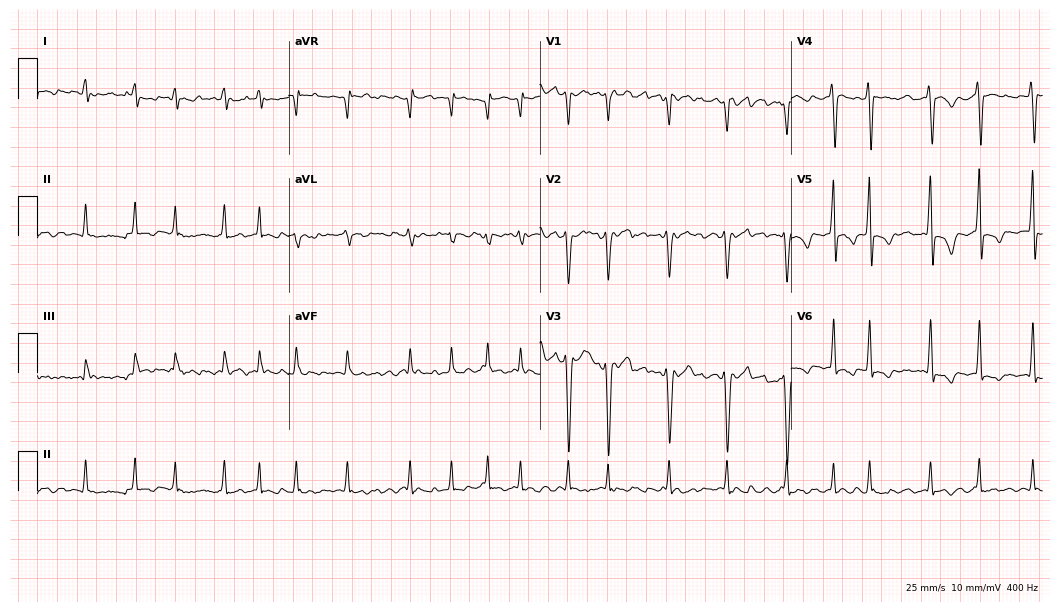
12-lead ECG from a man, 37 years old (10.2-second recording at 400 Hz). Shows atrial fibrillation.